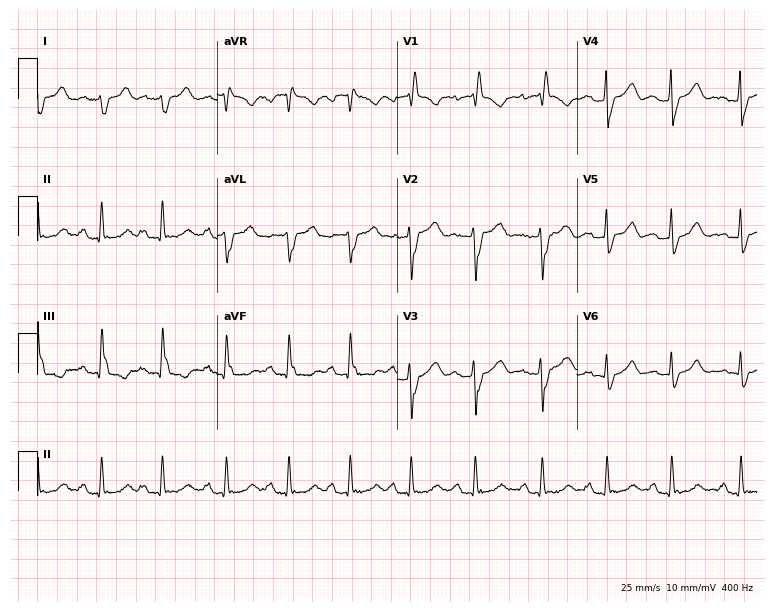
12-lead ECG from a 54-year-old female patient. Findings include right bundle branch block.